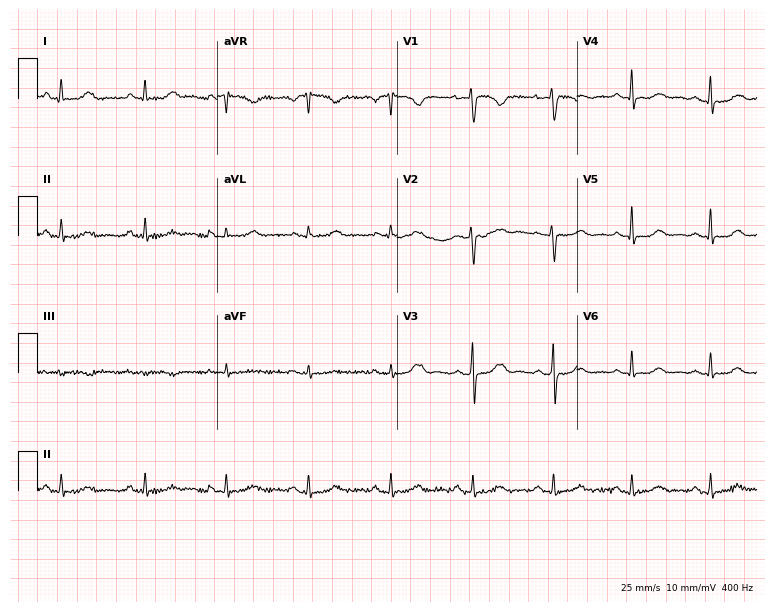
ECG — a 46-year-old female. Labelled as a normal ECG.